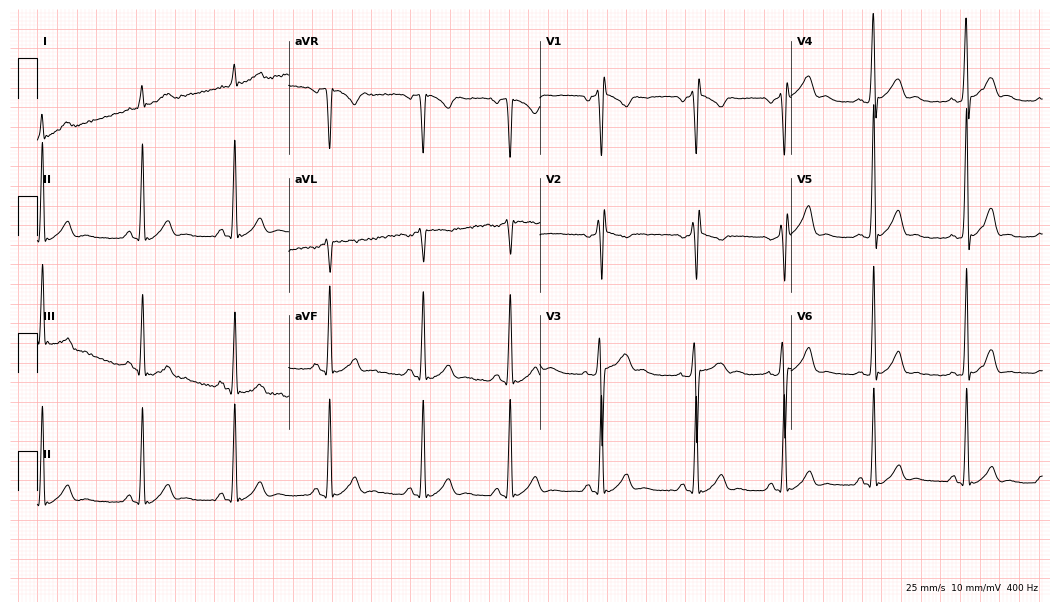
Resting 12-lead electrocardiogram (10.2-second recording at 400 Hz). Patient: a 19-year-old male. None of these six findings is recorded: first-degree AV block, right bundle branch block, left bundle branch block, sinus bradycardia, atrial fibrillation, sinus tachycardia.